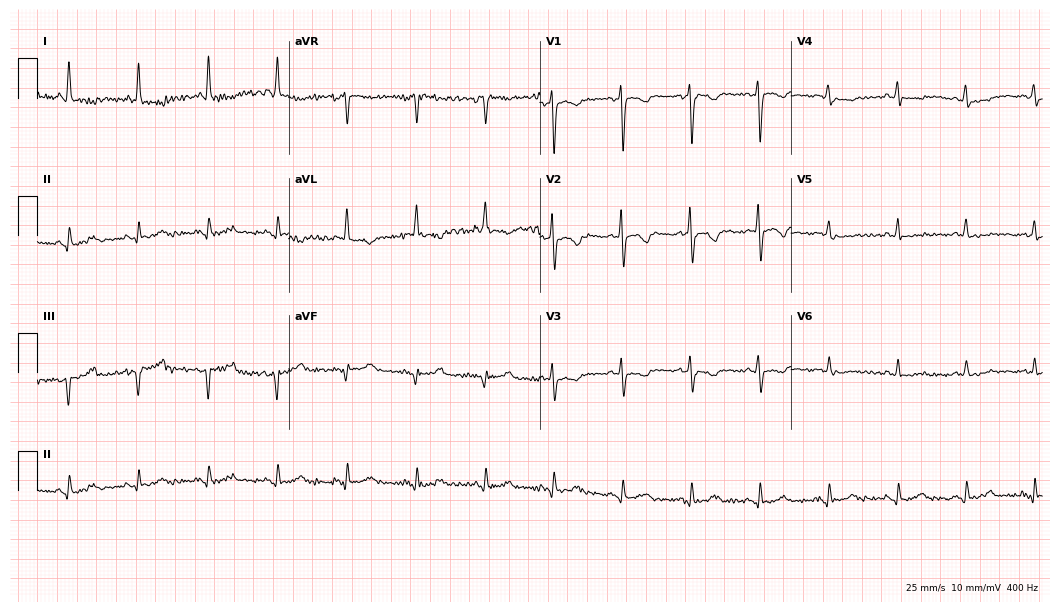
12-lead ECG from a 66-year-old female patient. Screened for six findings — first-degree AV block, right bundle branch block, left bundle branch block, sinus bradycardia, atrial fibrillation, sinus tachycardia — none is recorded. Only these six findings were labelled.